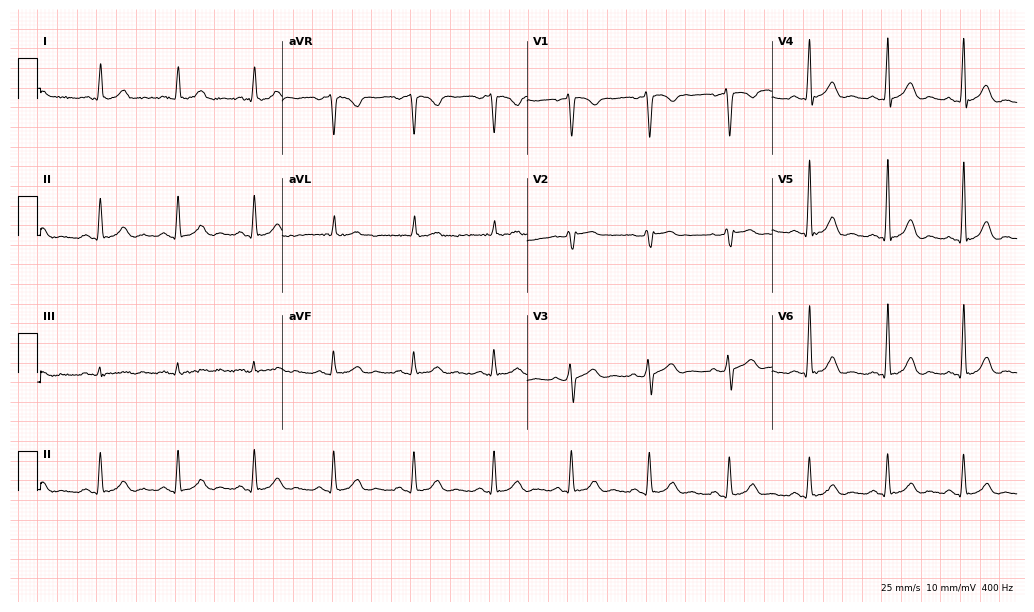
Resting 12-lead electrocardiogram (10-second recording at 400 Hz). Patient: a 50-year-old male. None of these six findings is recorded: first-degree AV block, right bundle branch block (RBBB), left bundle branch block (LBBB), sinus bradycardia, atrial fibrillation (AF), sinus tachycardia. Other findings, if any, are not listed.